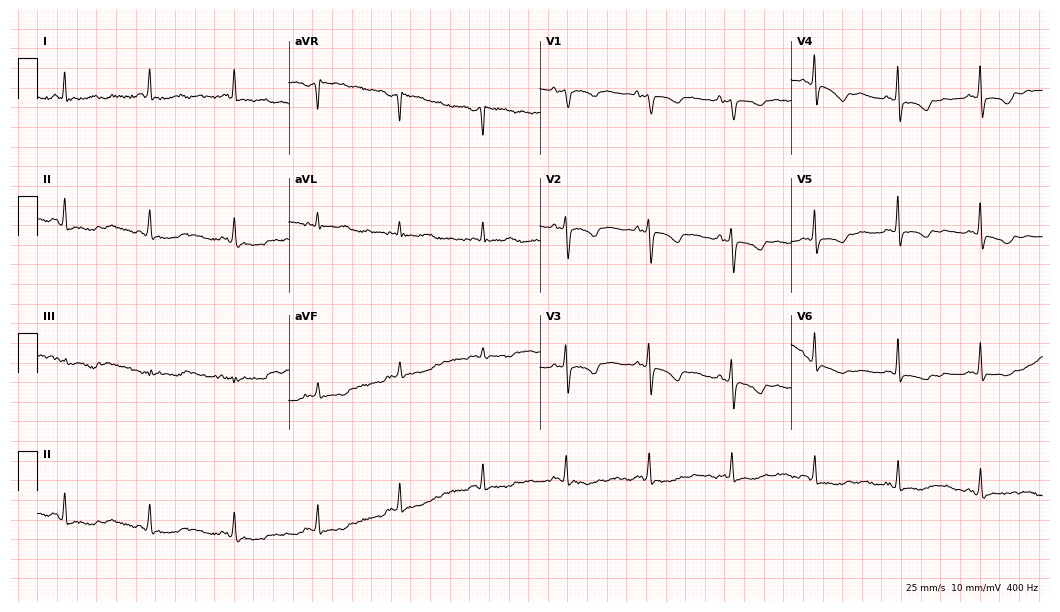
Resting 12-lead electrocardiogram (10.2-second recording at 400 Hz). Patient: a female, 73 years old. None of these six findings is recorded: first-degree AV block, right bundle branch block, left bundle branch block, sinus bradycardia, atrial fibrillation, sinus tachycardia.